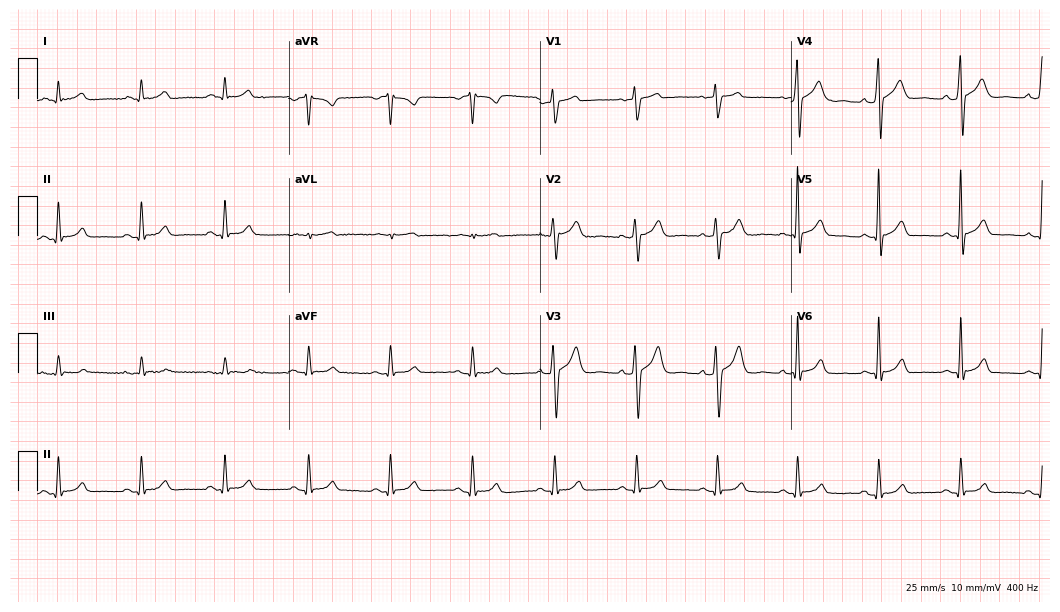
Resting 12-lead electrocardiogram. Patient: a male, 52 years old. Read as a normal ECG.